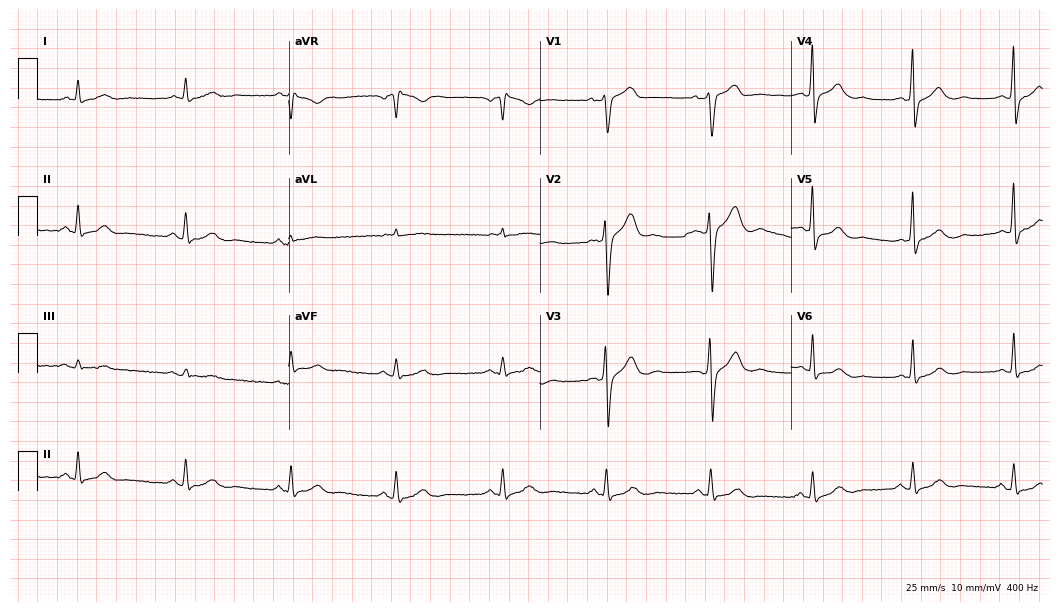
Electrocardiogram (10.2-second recording at 400 Hz), a man, 53 years old. Of the six screened findings (first-degree AV block, right bundle branch block, left bundle branch block, sinus bradycardia, atrial fibrillation, sinus tachycardia), none is recorded.